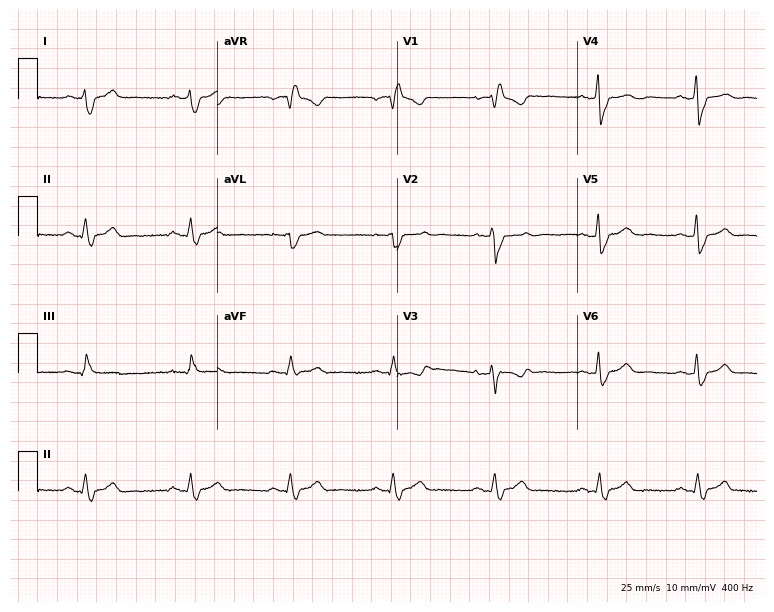
12-lead ECG from a 53-year-old woman (7.3-second recording at 400 Hz). Shows right bundle branch block (RBBB).